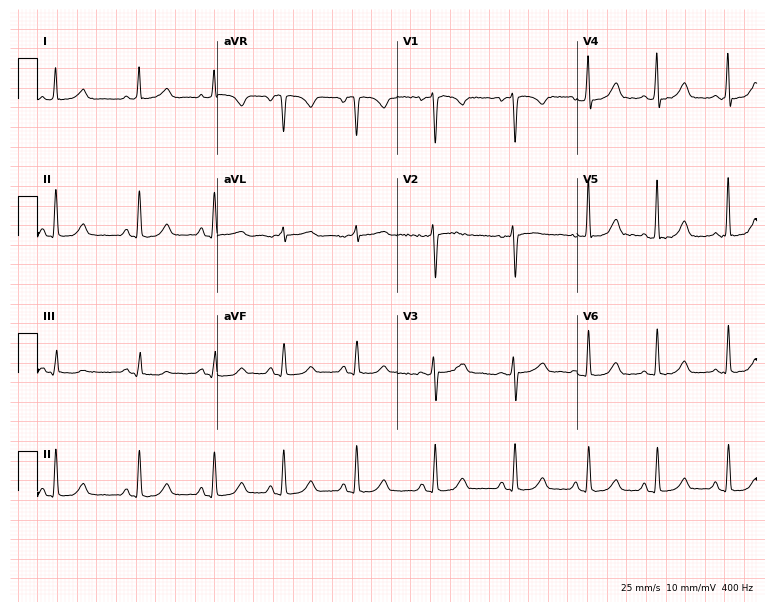
12-lead ECG (7.3-second recording at 400 Hz) from a female, 38 years old. Screened for six findings — first-degree AV block, right bundle branch block, left bundle branch block, sinus bradycardia, atrial fibrillation, sinus tachycardia — none is recorded.